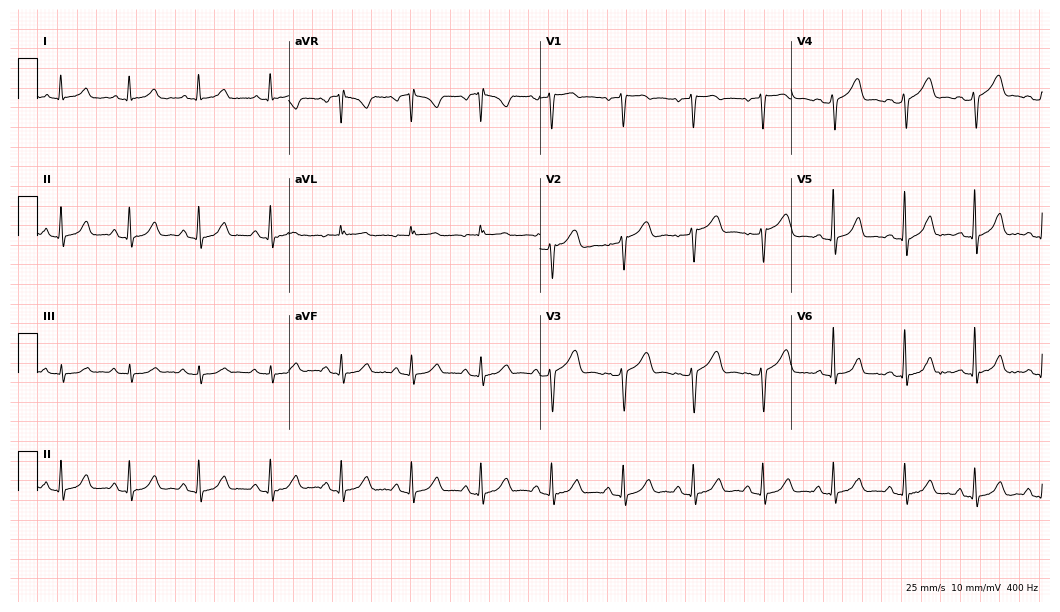
Standard 12-lead ECG recorded from a 50-year-old woman. None of these six findings is recorded: first-degree AV block, right bundle branch block (RBBB), left bundle branch block (LBBB), sinus bradycardia, atrial fibrillation (AF), sinus tachycardia. Only these six findings were labelled.